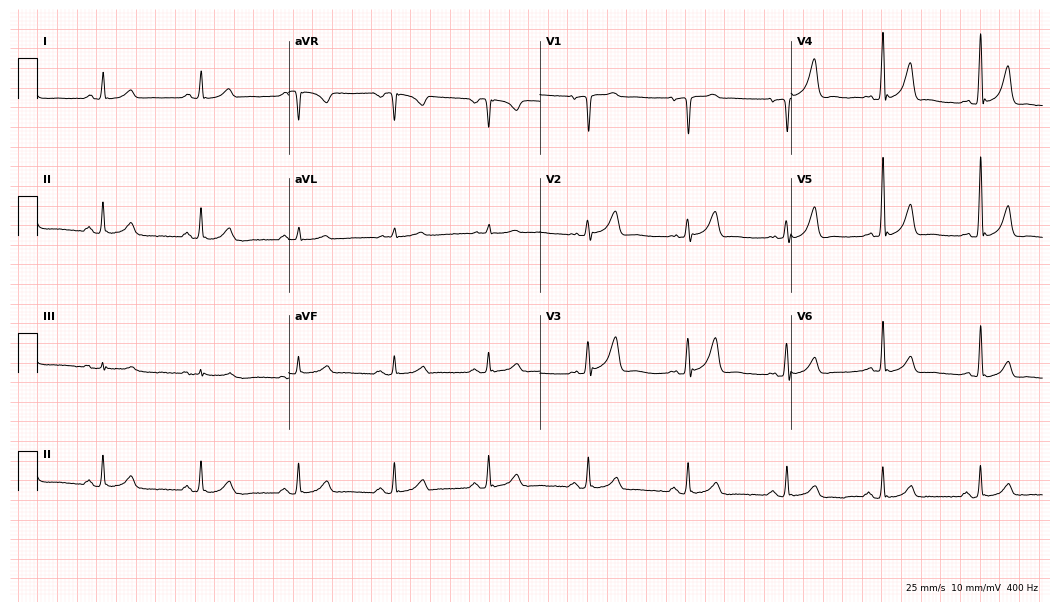
12-lead ECG from a female, 54 years old. Labelled as a normal ECG.